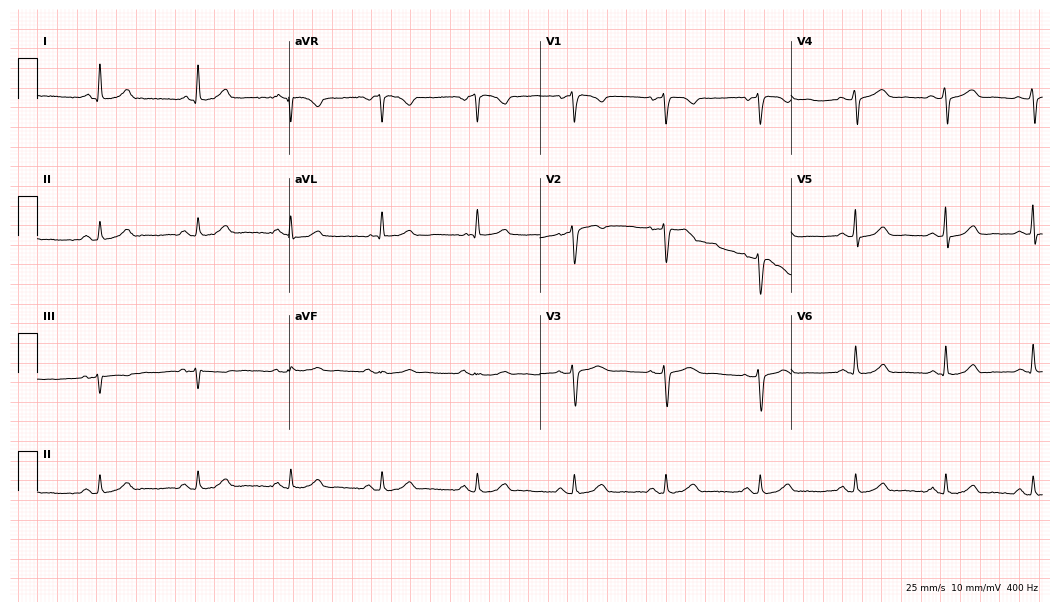
Standard 12-lead ECG recorded from a 45-year-old female (10.2-second recording at 400 Hz). Read as a normal ECG.